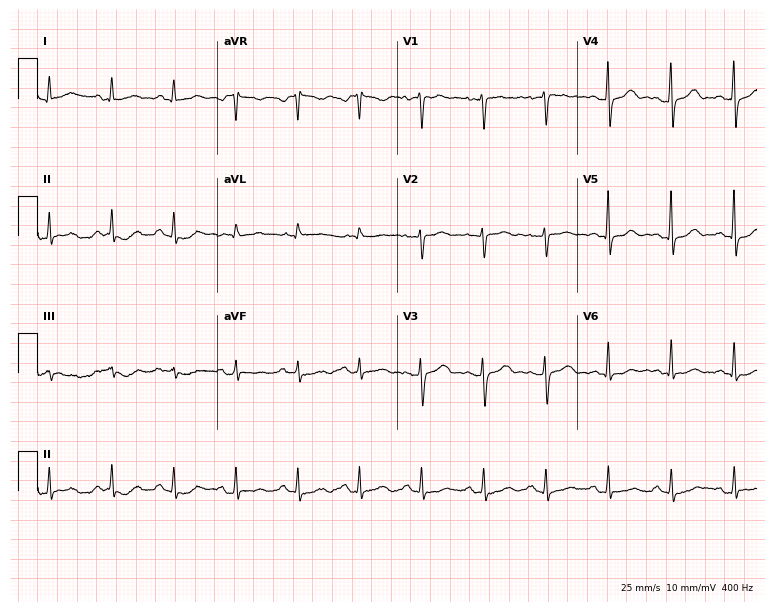
ECG (7.3-second recording at 400 Hz) — a 47-year-old woman. Labelled as a normal ECG.